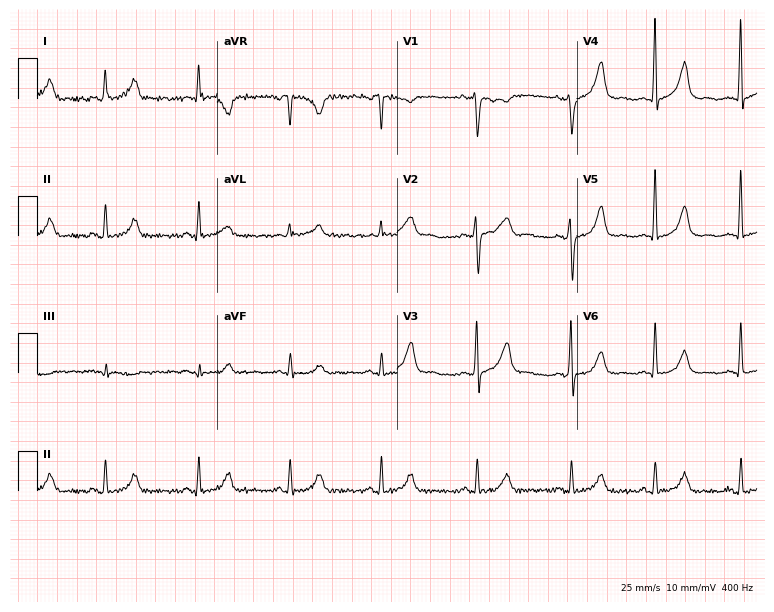
12-lead ECG from a 44-year-old female. No first-degree AV block, right bundle branch block, left bundle branch block, sinus bradycardia, atrial fibrillation or sinus tachycardia recorded for this tracing.